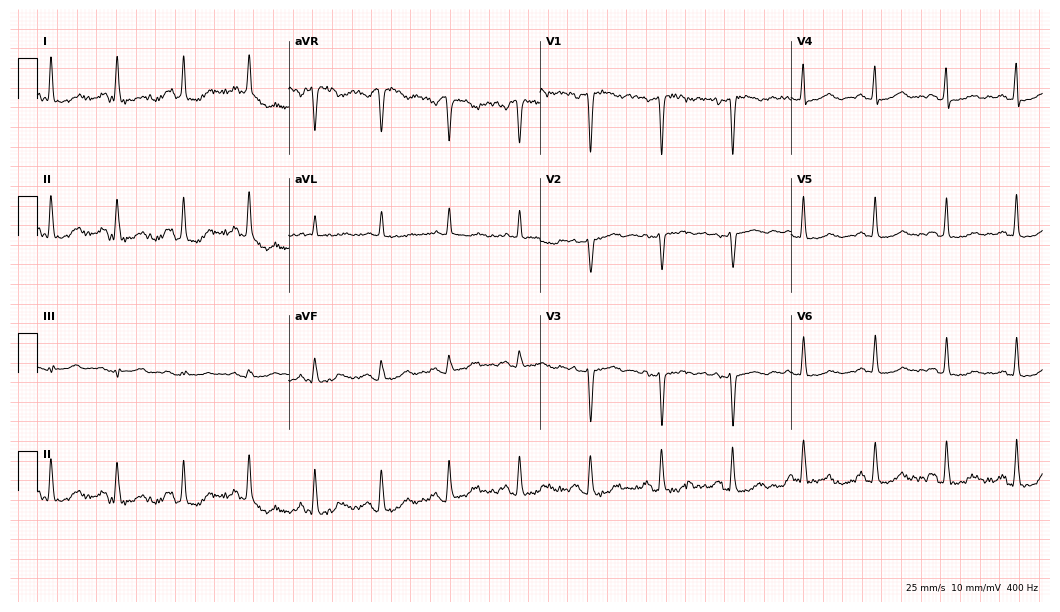
Electrocardiogram (10.2-second recording at 400 Hz), a 52-year-old female patient. Overall reading on record: normal ECG.